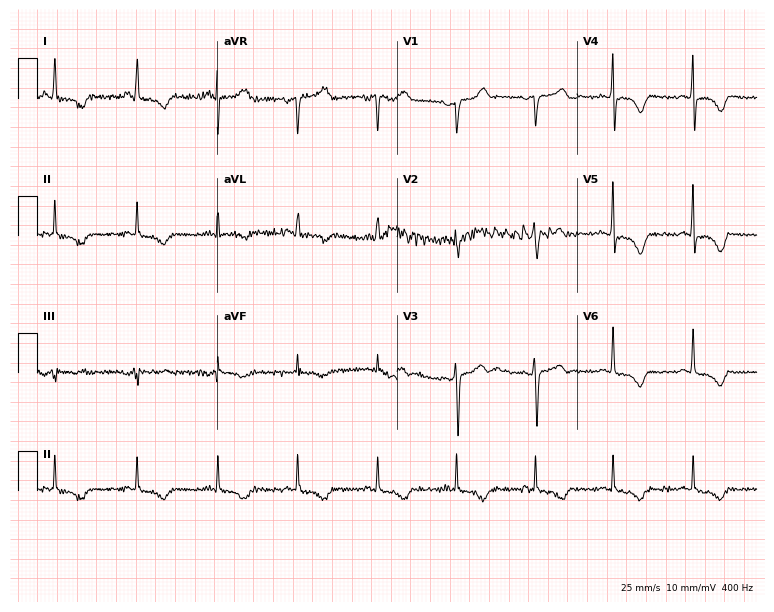
Electrocardiogram (7.3-second recording at 400 Hz), a male patient, 43 years old. Of the six screened findings (first-degree AV block, right bundle branch block (RBBB), left bundle branch block (LBBB), sinus bradycardia, atrial fibrillation (AF), sinus tachycardia), none is recorded. Other findings, if any, are not listed.